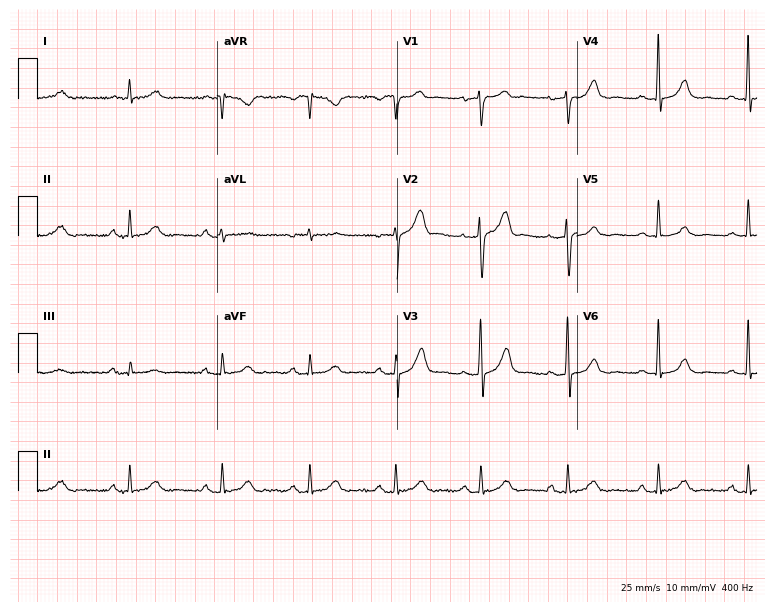
12-lead ECG (7.3-second recording at 400 Hz) from a 64-year-old male. Labelled as a normal ECG.